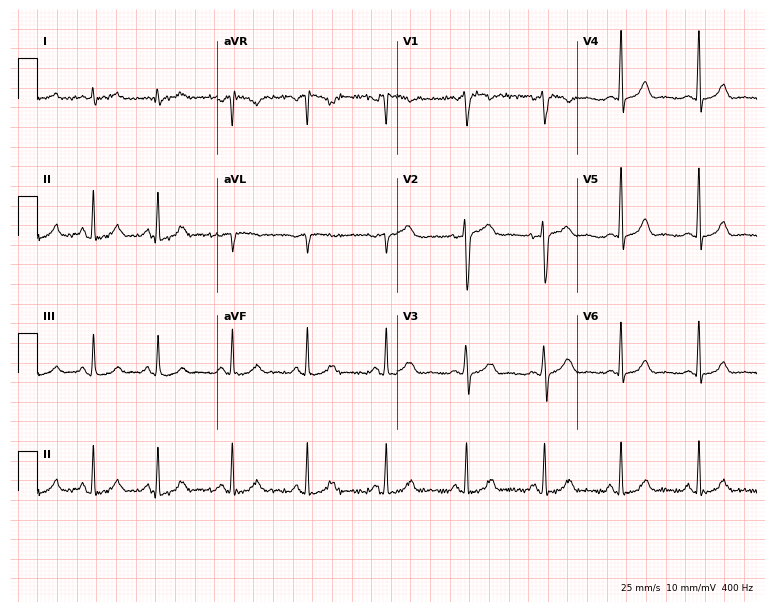
ECG (7.3-second recording at 400 Hz) — a female patient, 45 years old. Labelled as a normal ECG.